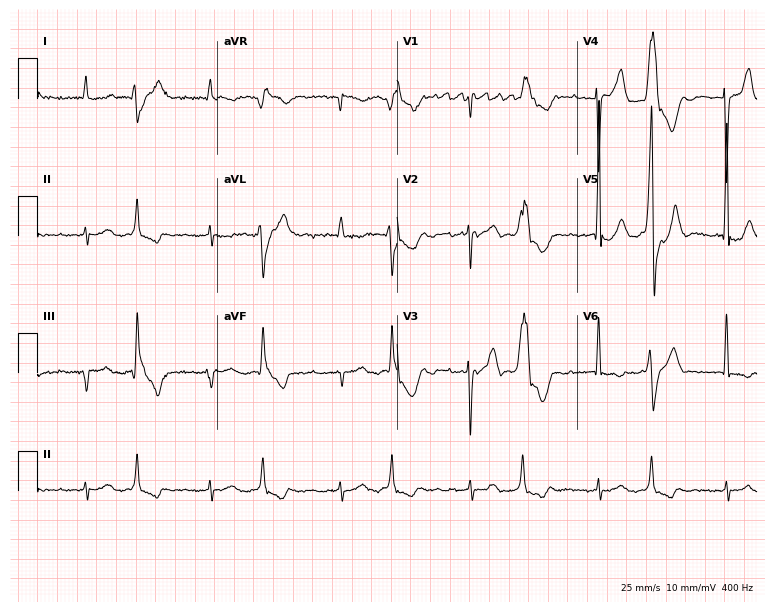
12-lead ECG from a female patient, 78 years old (7.3-second recording at 400 Hz). Shows atrial fibrillation (AF).